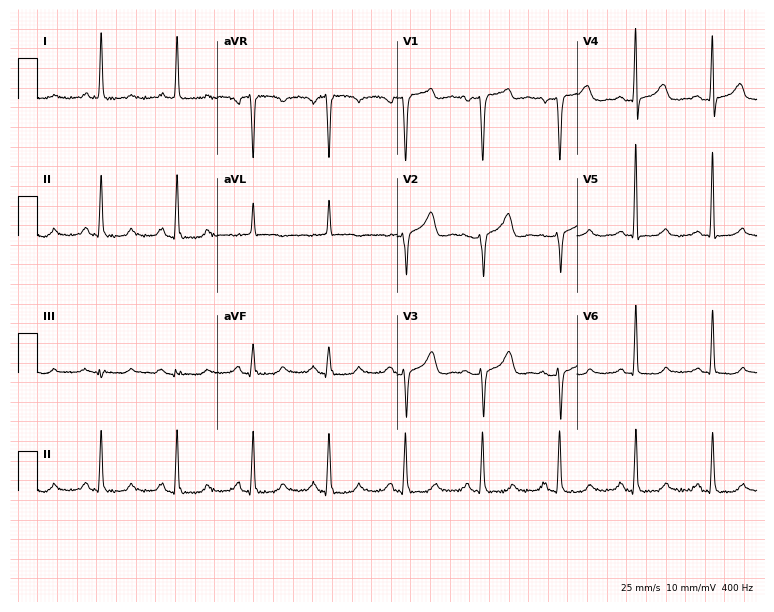
Electrocardiogram (7.3-second recording at 400 Hz), a 63-year-old female patient. Of the six screened findings (first-degree AV block, right bundle branch block, left bundle branch block, sinus bradycardia, atrial fibrillation, sinus tachycardia), none is recorded. Other findings, if any, are not listed.